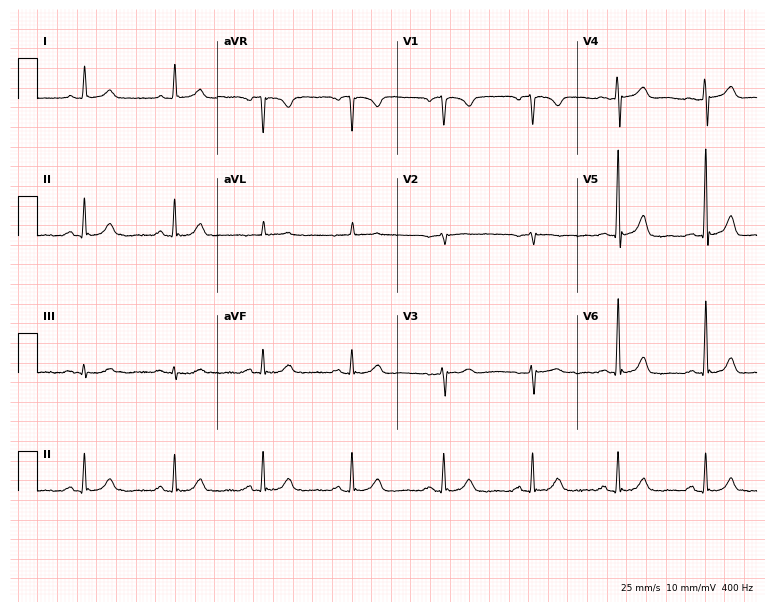
12-lead ECG from a female, 65 years old. Labelled as a normal ECG.